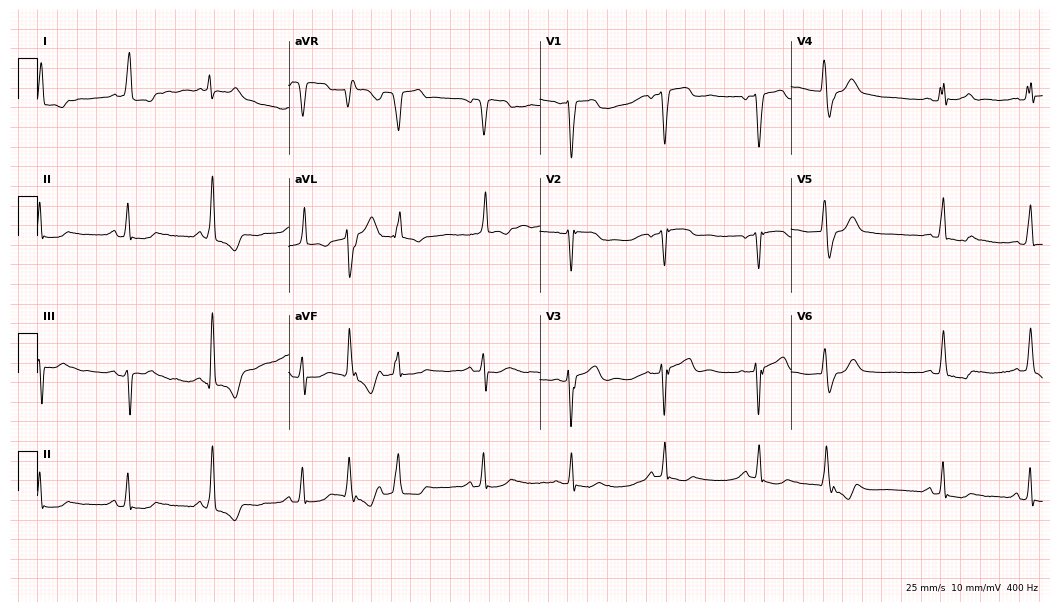
Resting 12-lead electrocardiogram. Patient: a 77-year-old male. None of these six findings is recorded: first-degree AV block, right bundle branch block, left bundle branch block, sinus bradycardia, atrial fibrillation, sinus tachycardia. Other findings, if any, are not listed.